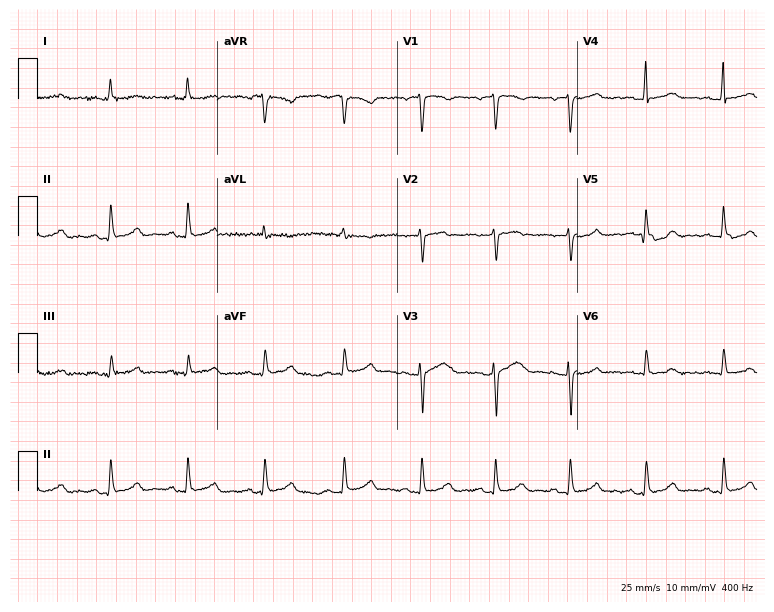
Standard 12-lead ECG recorded from a 27-year-old woman. None of these six findings is recorded: first-degree AV block, right bundle branch block (RBBB), left bundle branch block (LBBB), sinus bradycardia, atrial fibrillation (AF), sinus tachycardia.